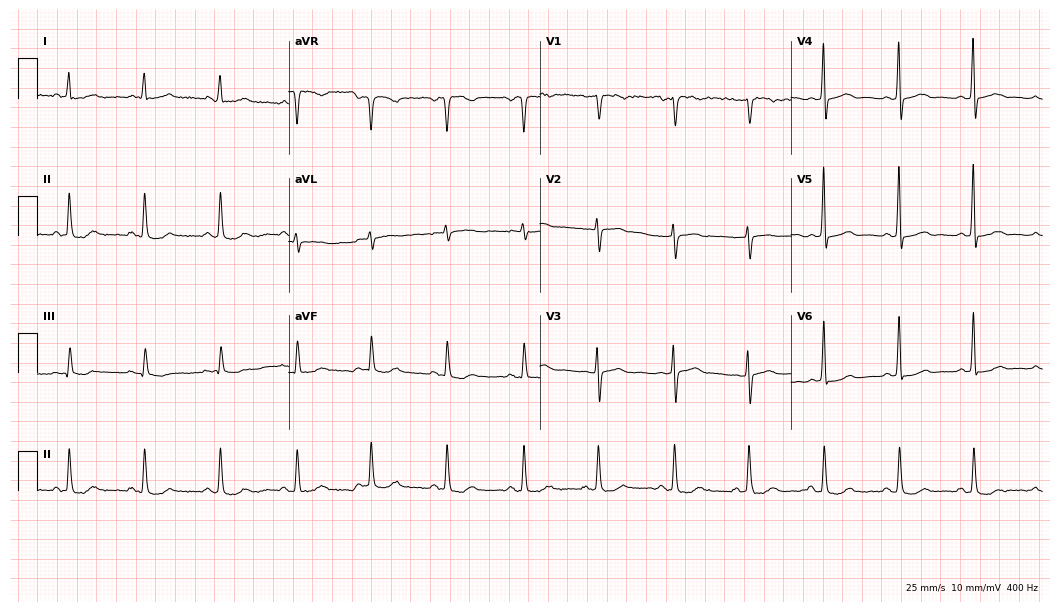
12-lead ECG from a 77-year-old female (10.2-second recording at 400 Hz). No first-degree AV block, right bundle branch block (RBBB), left bundle branch block (LBBB), sinus bradycardia, atrial fibrillation (AF) or sinus tachycardia recorded for this tracing.